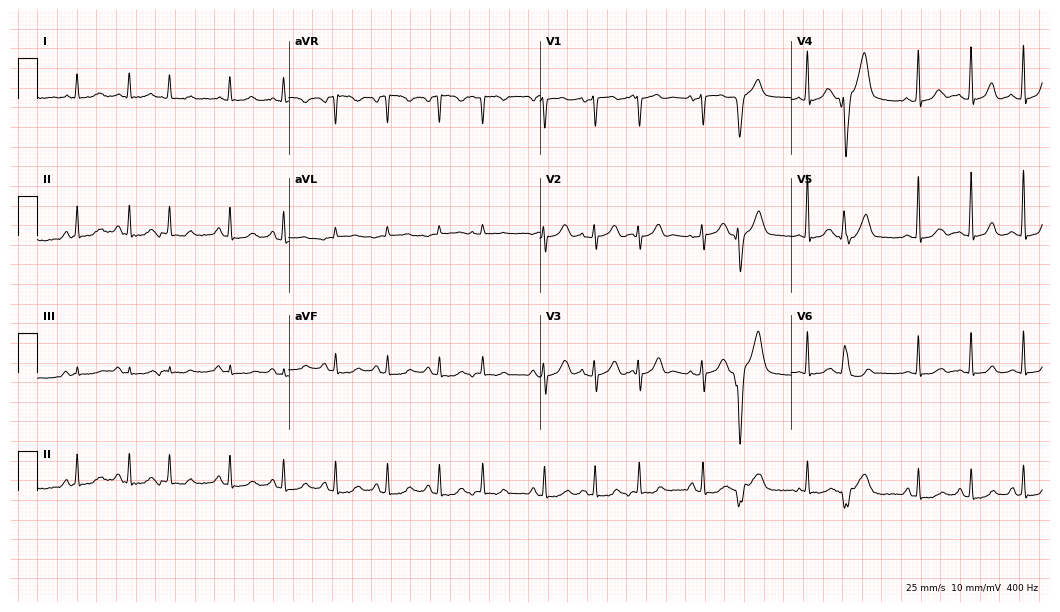
12-lead ECG (10.2-second recording at 400 Hz) from a 79-year-old woman. Screened for six findings — first-degree AV block, right bundle branch block, left bundle branch block, sinus bradycardia, atrial fibrillation, sinus tachycardia — none is recorded.